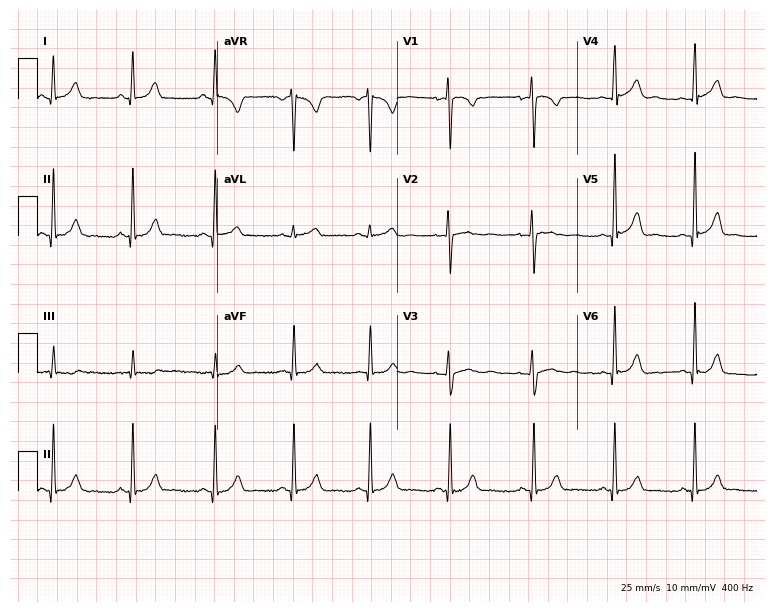
12-lead ECG (7.3-second recording at 400 Hz) from a woman, 31 years old. Labelled as a normal ECG.